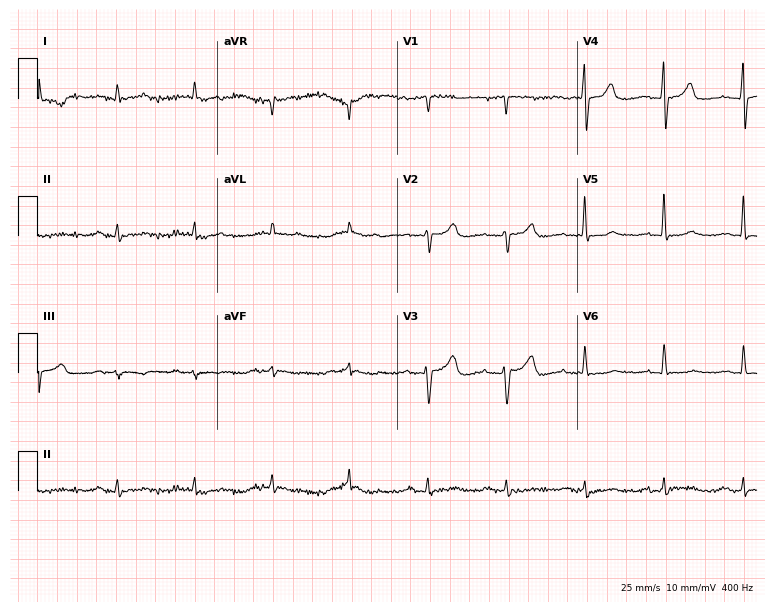
12-lead ECG (7.3-second recording at 400 Hz) from a 76-year-old male patient. Screened for six findings — first-degree AV block, right bundle branch block, left bundle branch block, sinus bradycardia, atrial fibrillation, sinus tachycardia — none is recorded. Other findings, if any, are not listed.